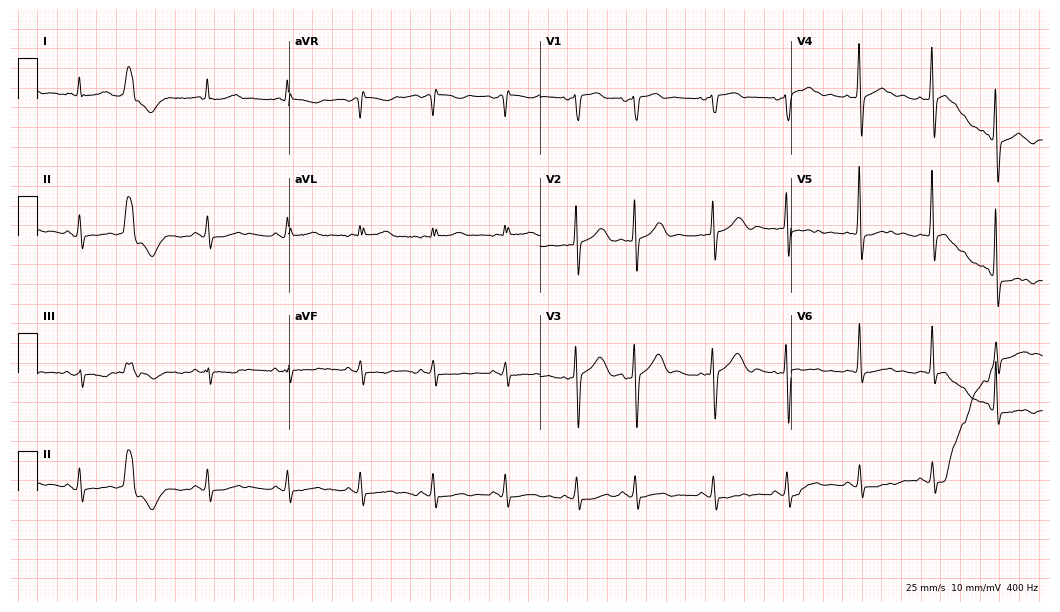
12-lead ECG (10.2-second recording at 400 Hz) from an 83-year-old female patient. Screened for six findings — first-degree AV block, right bundle branch block, left bundle branch block, sinus bradycardia, atrial fibrillation, sinus tachycardia — none is recorded. Other findings, if any, are not listed.